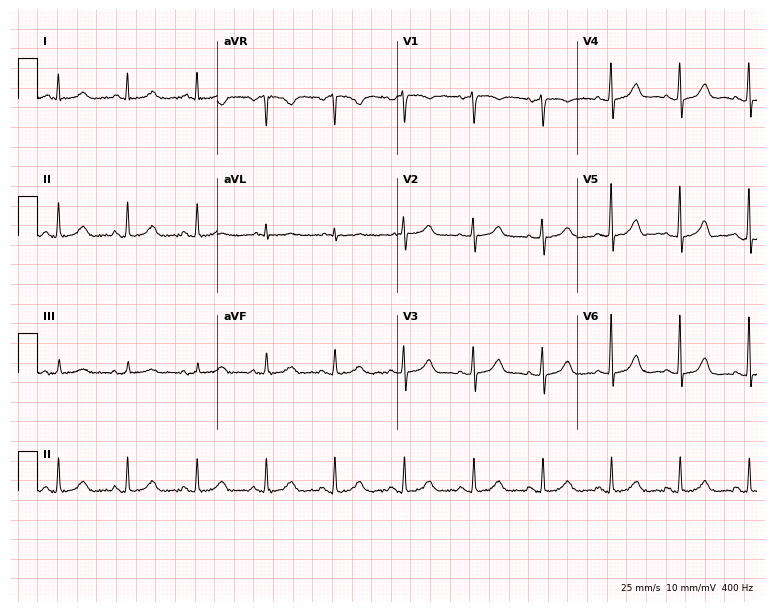
Electrocardiogram (7.3-second recording at 400 Hz), a 54-year-old female patient. Overall reading on record: normal ECG.